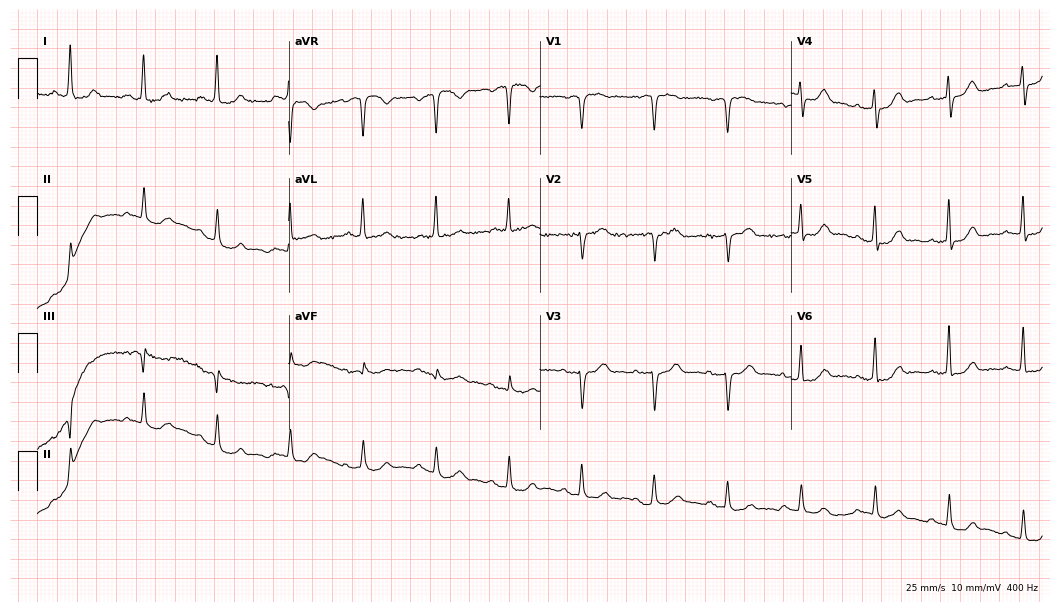
Standard 12-lead ECG recorded from a female, 74 years old (10.2-second recording at 400 Hz). None of these six findings is recorded: first-degree AV block, right bundle branch block, left bundle branch block, sinus bradycardia, atrial fibrillation, sinus tachycardia. Findings outside these six are not listed.